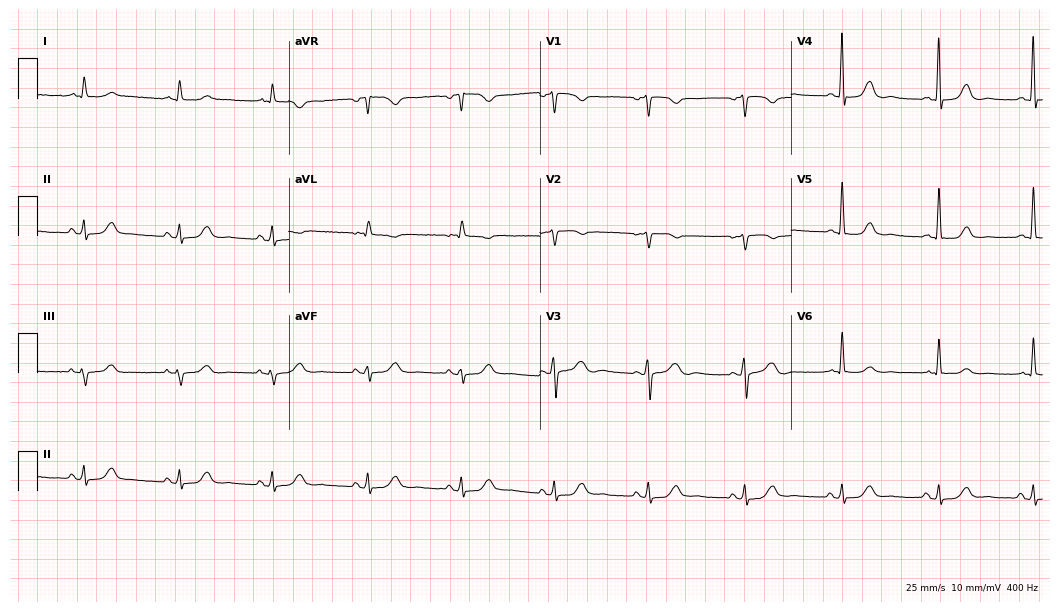
Electrocardiogram (10.2-second recording at 400 Hz), a woman, 66 years old. Of the six screened findings (first-degree AV block, right bundle branch block, left bundle branch block, sinus bradycardia, atrial fibrillation, sinus tachycardia), none is recorded. Only these six findings were labelled.